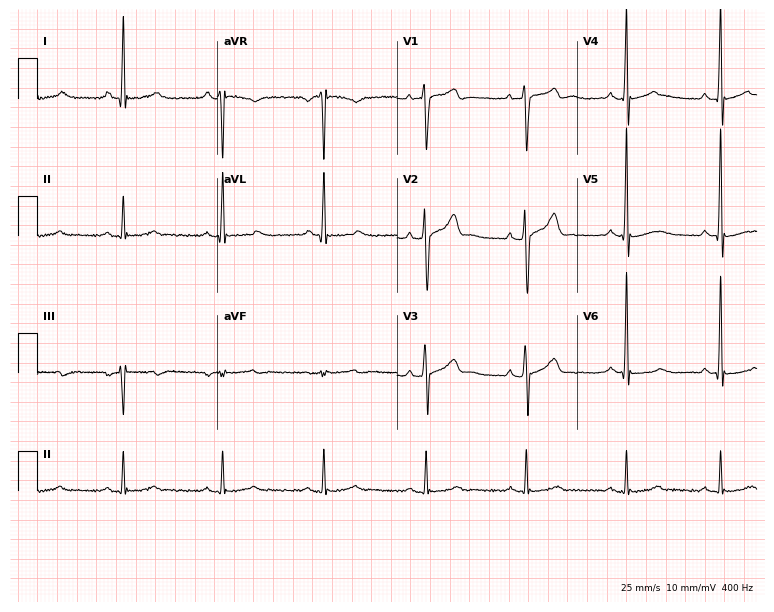
ECG (7.3-second recording at 400 Hz) — a man, 36 years old. Screened for six findings — first-degree AV block, right bundle branch block (RBBB), left bundle branch block (LBBB), sinus bradycardia, atrial fibrillation (AF), sinus tachycardia — none is recorded.